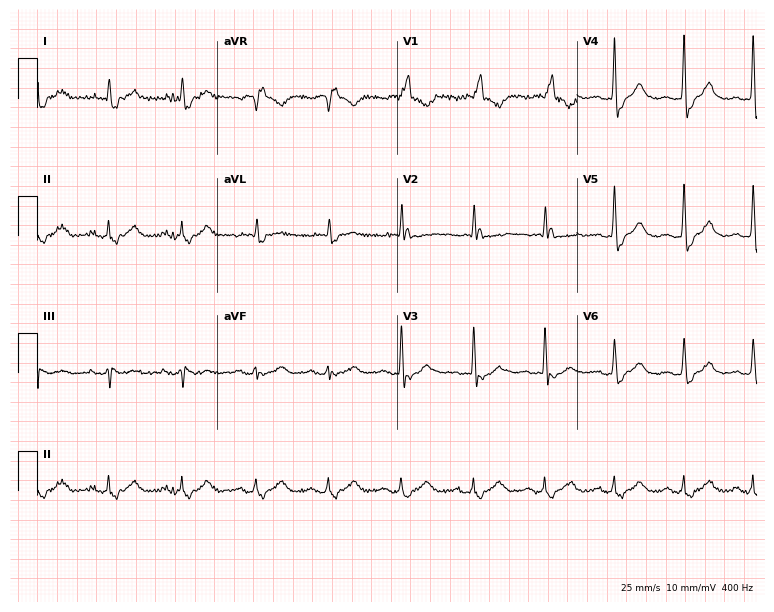
12-lead ECG from a 76-year-old male patient. Findings include right bundle branch block.